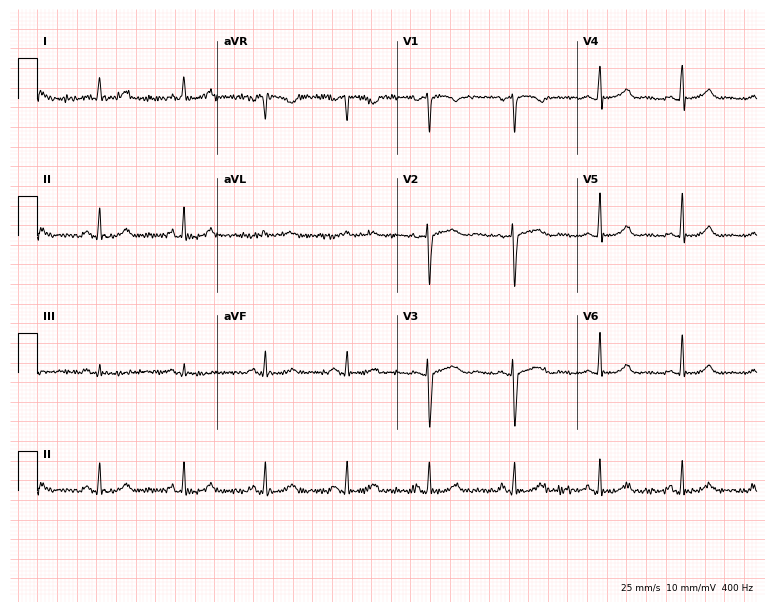
12-lead ECG from a 40-year-old female patient (7.3-second recording at 400 Hz). Recorded interpretation: within normal limits.